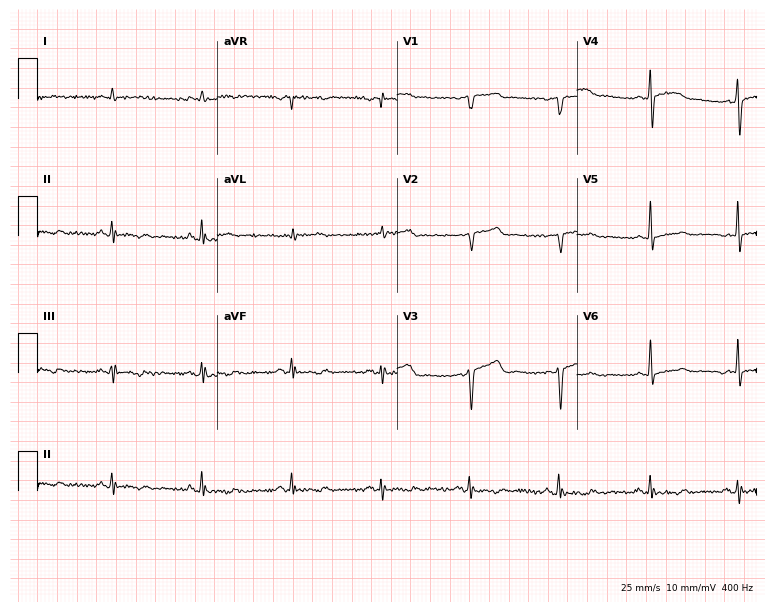
12-lead ECG from a 66-year-old male patient. Screened for six findings — first-degree AV block, right bundle branch block, left bundle branch block, sinus bradycardia, atrial fibrillation, sinus tachycardia — none is recorded.